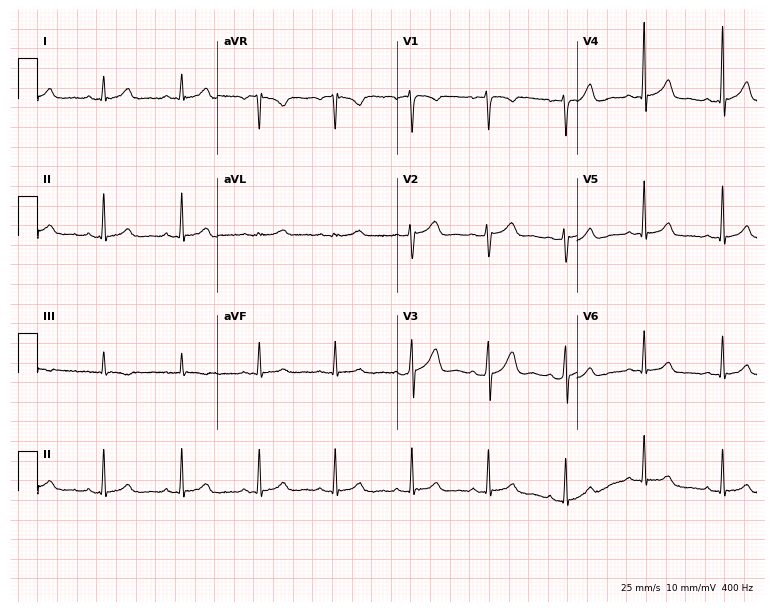
Electrocardiogram (7.3-second recording at 400 Hz), a male patient, 35 years old. Overall reading on record: normal ECG.